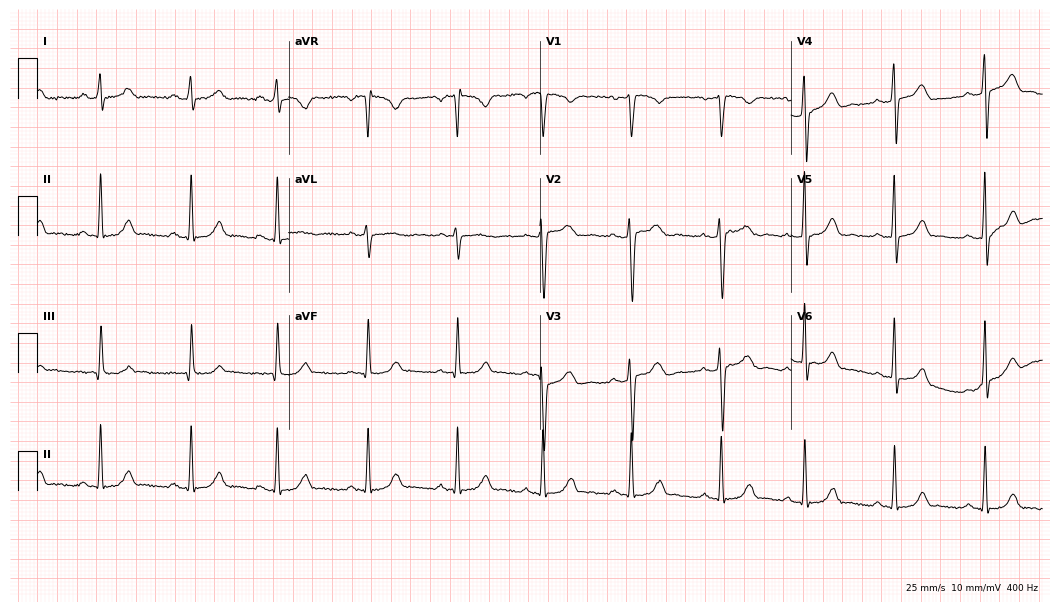
12-lead ECG from a 36-year-old woman. Labelled as a normal ECG.